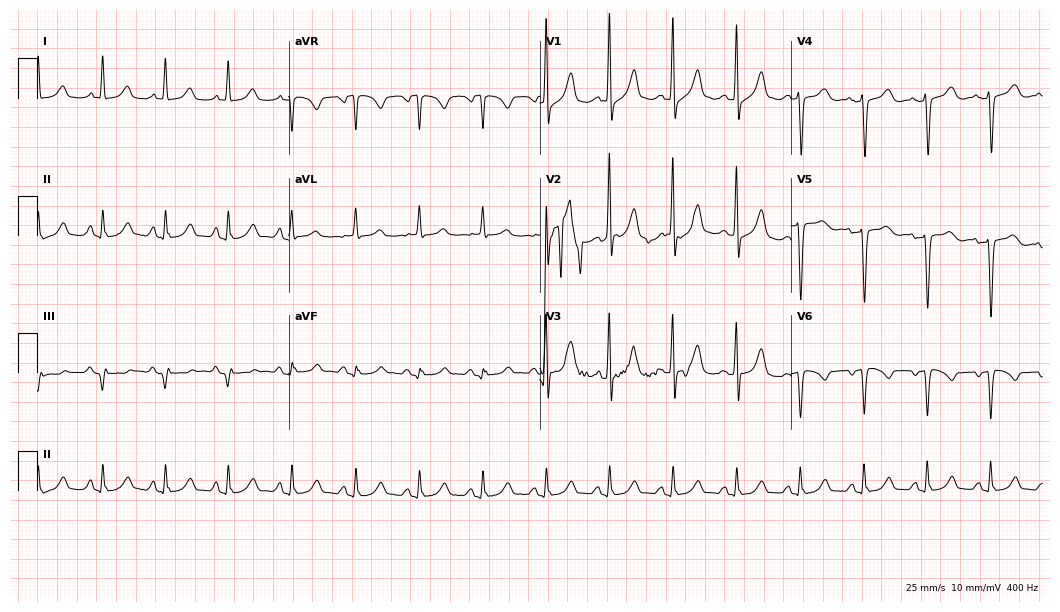
12-lead ECG (10.2-second recording at 400 Hz) from a 51-year-old female. Screened for six findings — first-degree AV block, right bundle branch block (RBBB), left bundle branch block (LBBB), sinus bradycardia, atrial fibrillation (AF), sinus tachycardia — none is recorded. Other findings, if any, are not listed.